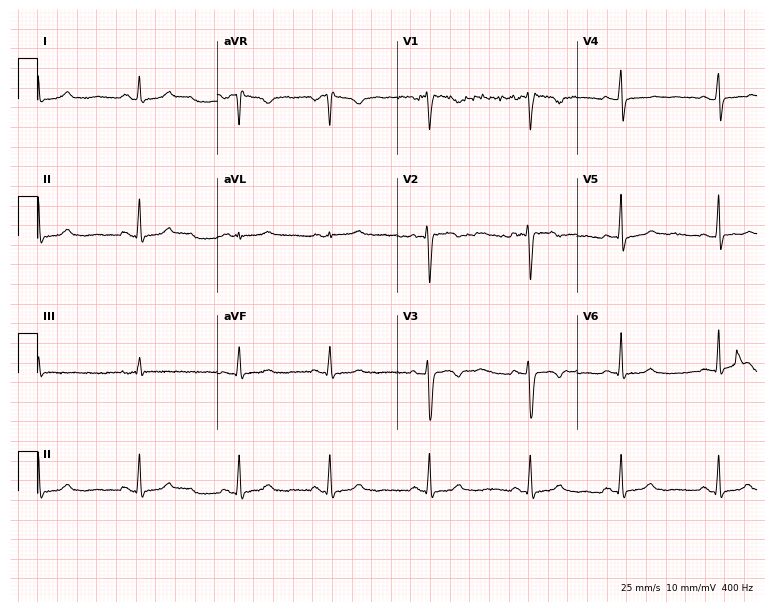
Standard 12-lead ECG recorded from a 31-year-old woman (7.3-second recording at 400 Hz). None of these six findings is recorded: first-degree AV block, right bundle branch block (RBBB), left bundle branch block (LBBB), sinus bradycardia, atrial fibrillation (AF), sinus tachycardia. Other findings, if any, are not listed.